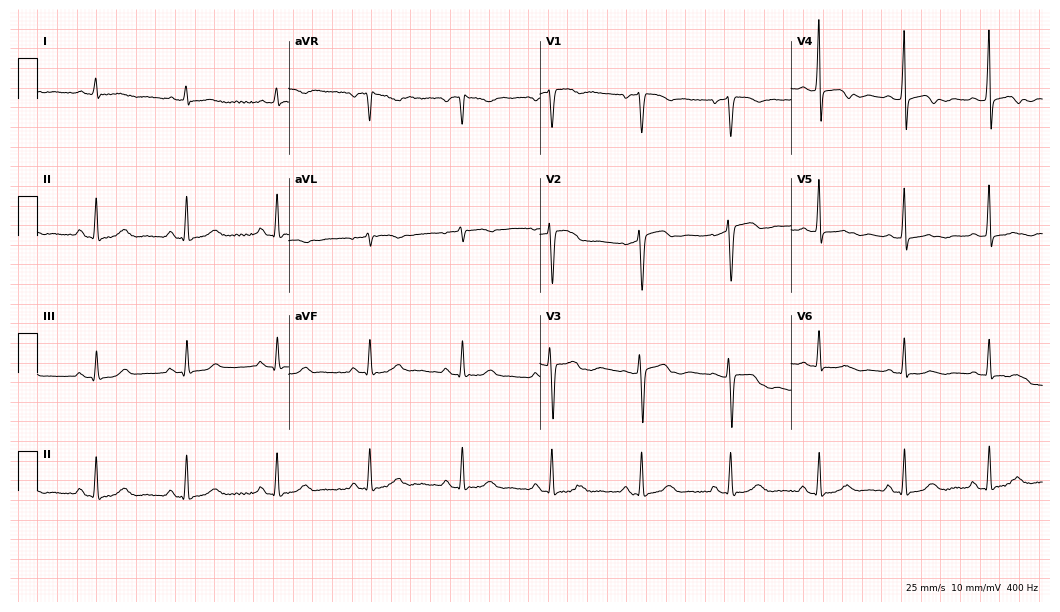
Standard 12-lead ECG recorded from a 74-year-old woman (10.2-second recording at 400 Hz). Read as a normal ECG.